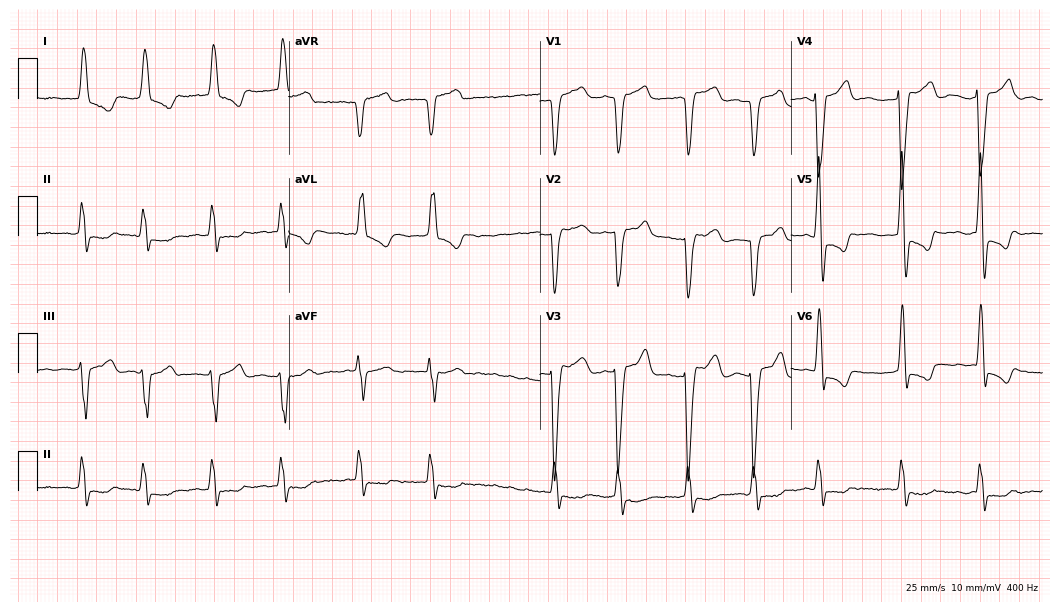
ECG — an 86-year-old female. Findings include left bundle branch block, atrial fibrillation.